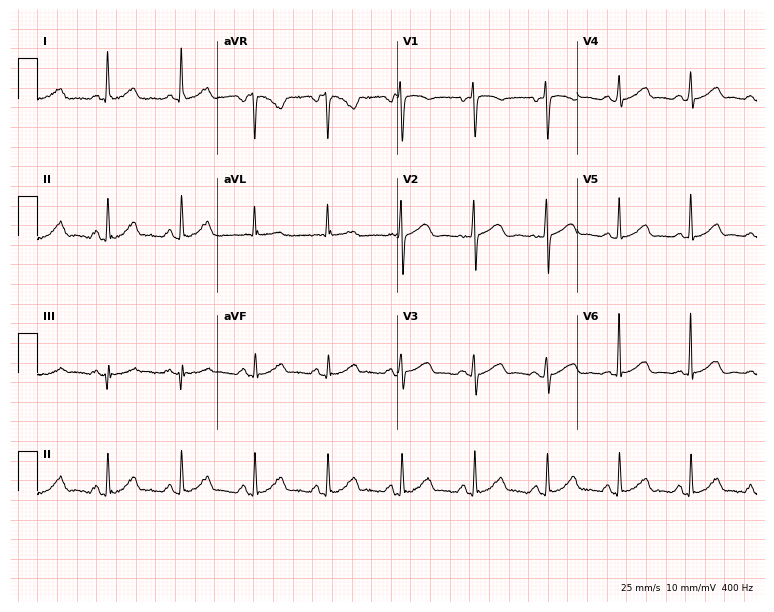
Standard 12-lead ECG recorded from a female, 59 years old (7.3-second recording at 400 Hz). Read as a normal ECG.